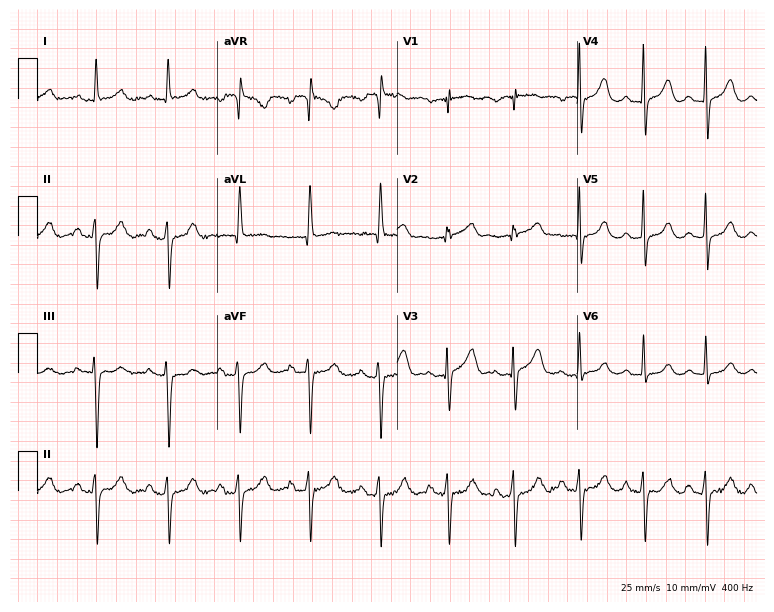
ECG — a woman, 73 years old. Screened for six findings — first-degree AV block, right bundle branch block, left bundle branch block, sinus bradycardia, atrial fibrillation, sinus tachycardia — none is recorded.